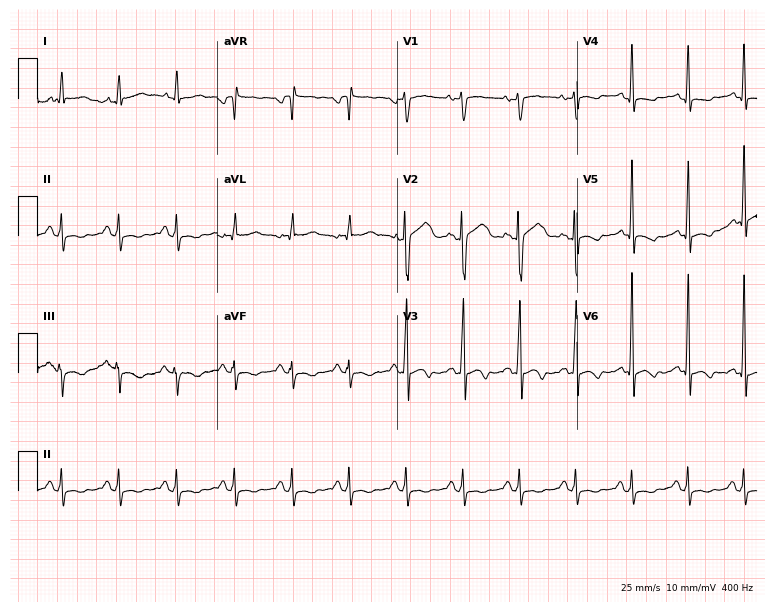
12-lead ECG from a 37-year-old male patient (7.3-second recording at 400 Hz). Shows sinus tachycardia (a sinus rate of 100 beats per minute or more).